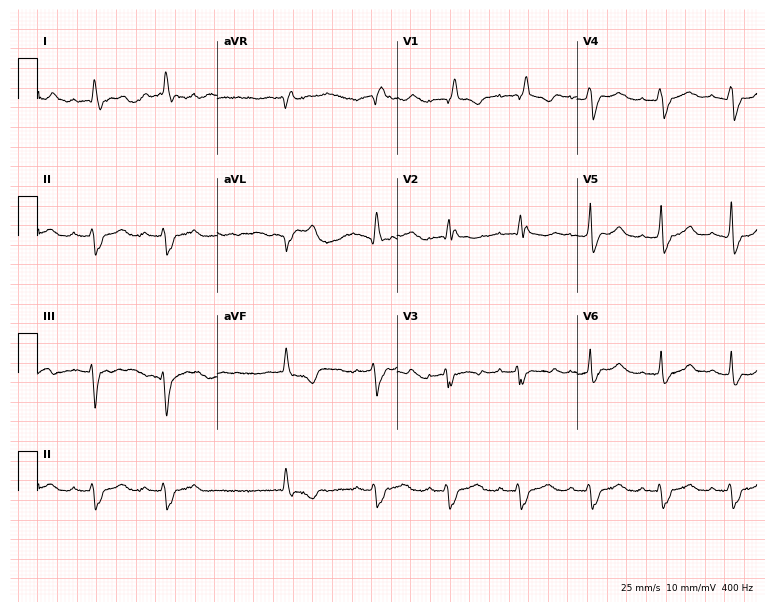
Standard 12-lead ECG recorded from a 52-year-old female. The tracing shows right bundle branch block.